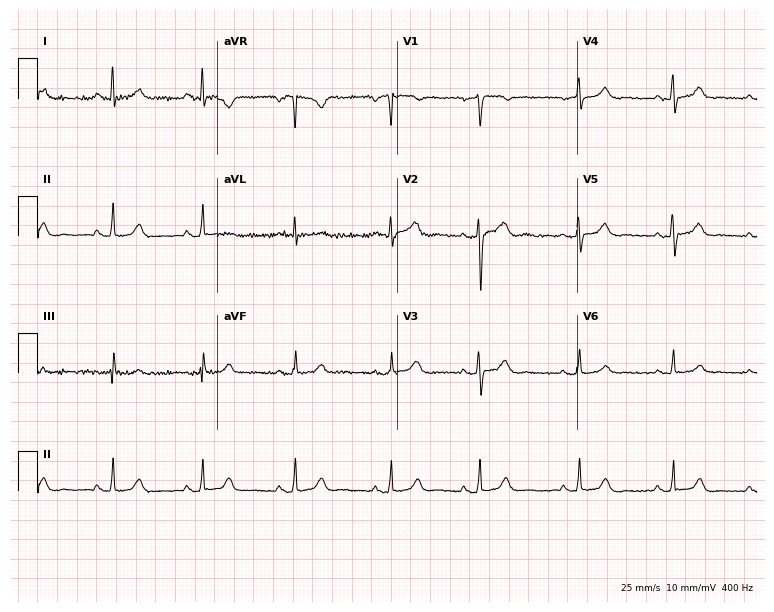
12-lead ECG (7.3-second recording at 400 Hz) from a 53-year-old female patient. Screened for six findings — first-degree AV block, right bundle branch block, left bundle branch block, sinus bradycardia, atrial fibrillation, sinus tachycardia — none is recorded.